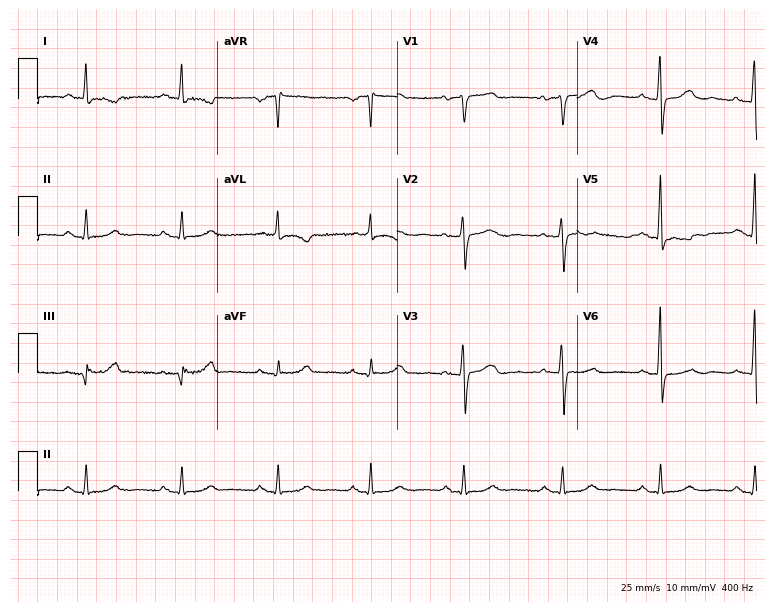
ECG — a woman, 61 years old. Labelled as a normal ECG.